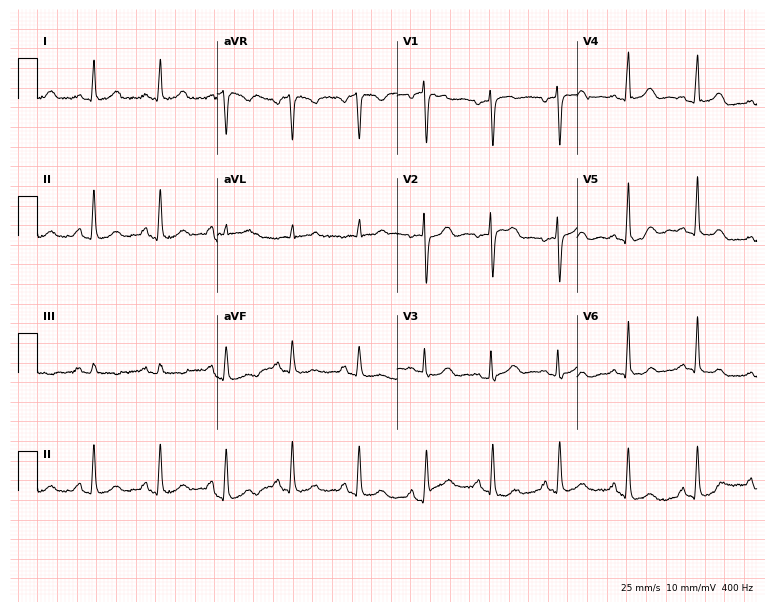
Electrocardiogram, a female patient, 54 years old. Overall reading on record: normal ECG.